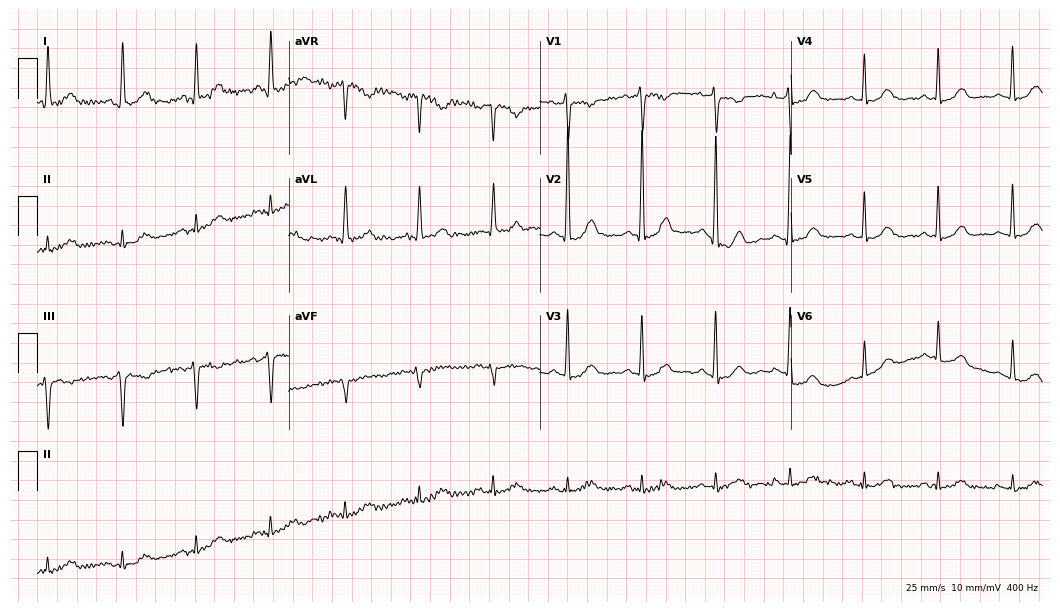
Electrocardiogram, a female patient, 78 years old. Overall reading on record: normal ECG.